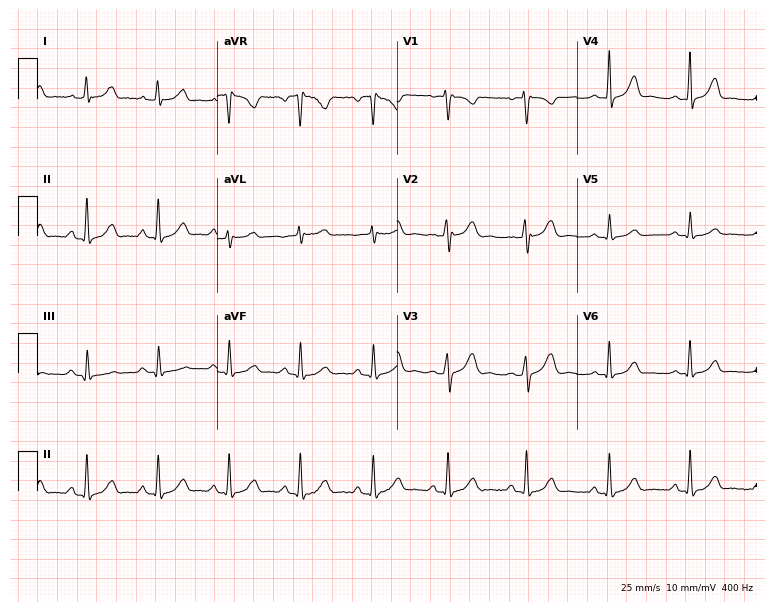
ECG (7.3-second recording at 400 Hz) — a 26-year-old female. Screened for six findings — first-degree AV block, right bundle branch block (RBBB), left bundle branch block (LBBB), sinus bradycardia, atrial fibrillation (AF), sinus tachycardia — none is recorded. Findings outside these six are not listed.